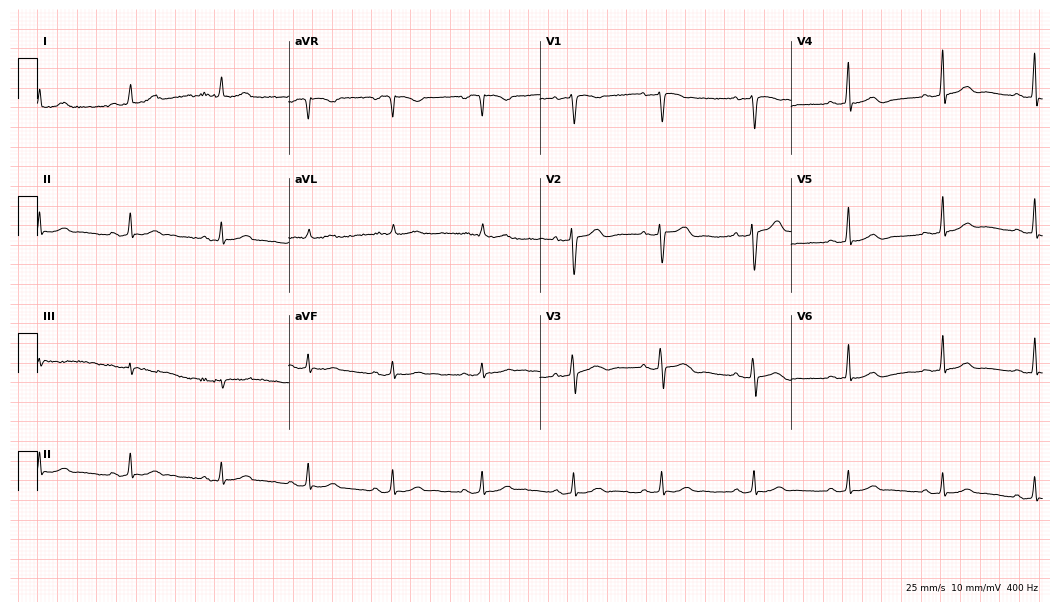
Resting 12-lead electrocardiogram (10.2-second recording at 400 Hz). Patient: a 45-year-old female. Read as a normal ECG.